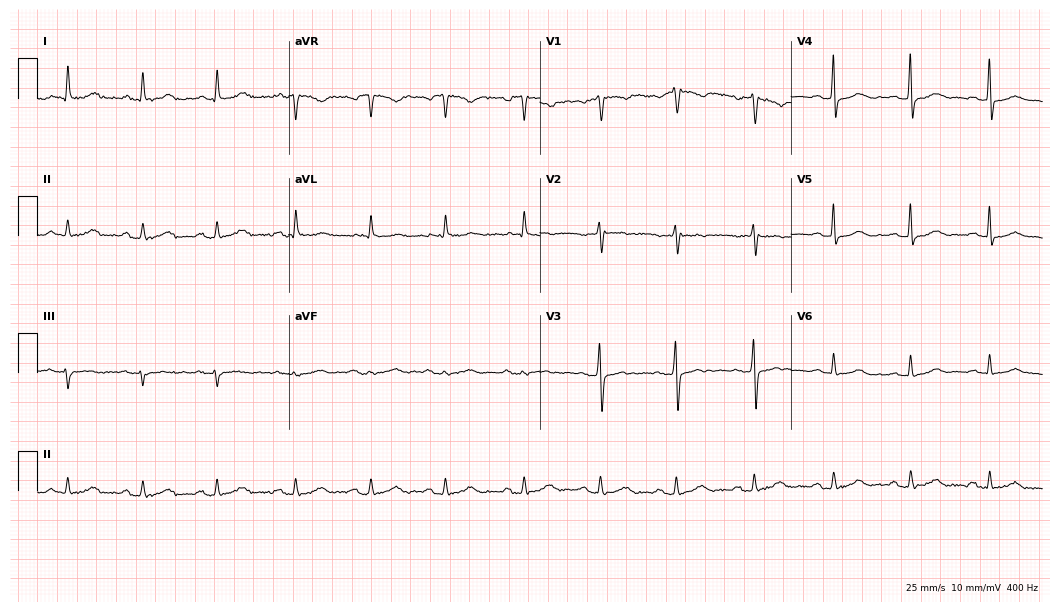
12-lead ECG from a female patient, 58 years old (10.2-second recording at 400 Hz). Recorded interpretation: within normal limits.